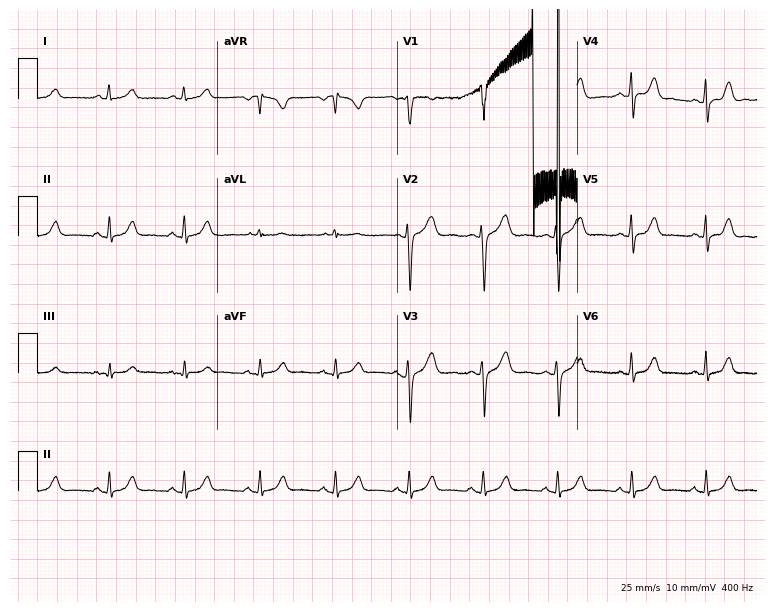
Standard 12-lead ECG recorded from a female patient, 30 years old (7.3-second recording at 400 Hz). None of these six findings is recorded: first-degree AV block, right bundle branch block, left bundle branch block, sinus bradycardia, atrial fibrillation, sinus tachycardia.